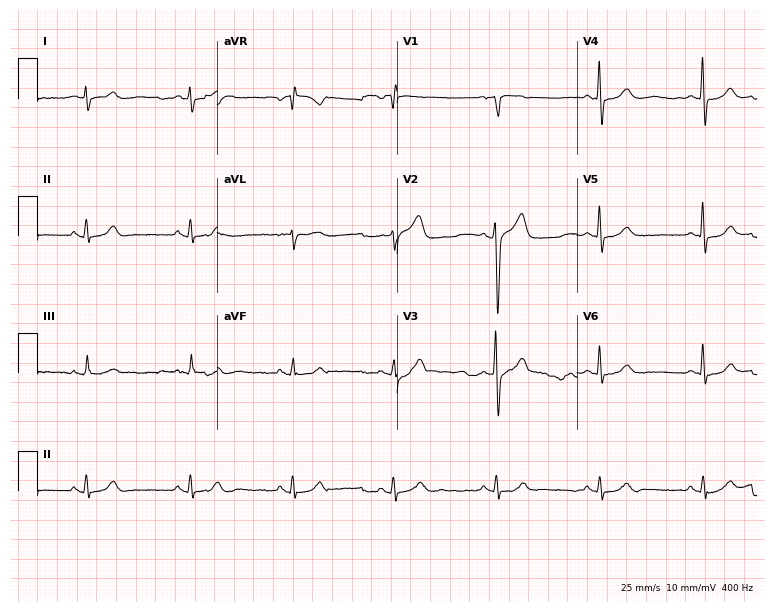
ECG (7.3-second recording at 400 Hz) — a 55-year-old male. Labelled as a normal ECG.